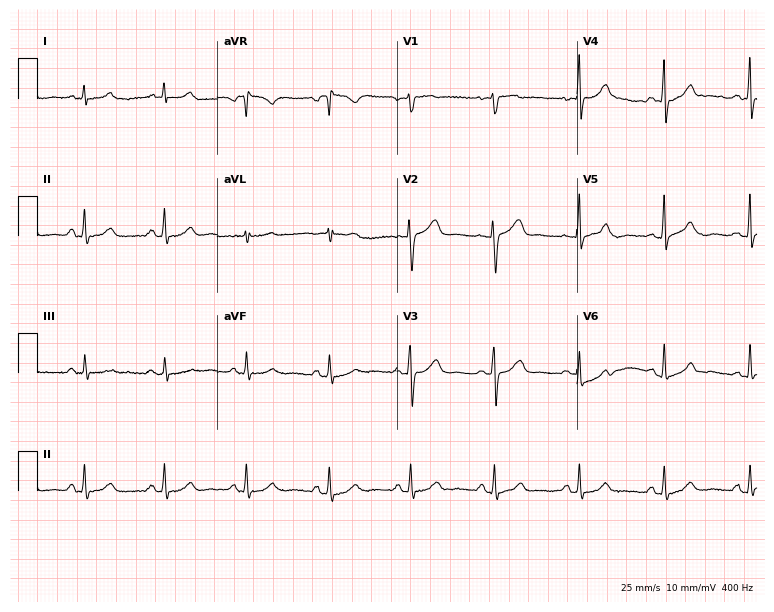
ECG — a 36-year-old female. Screened for six findings — first-degree AV block, right bundle branch block, left bundle branch block, sinus bradycardia, atrial fibrillation, sinus tachycardia — none is recorded. Only these six findings were labelled.